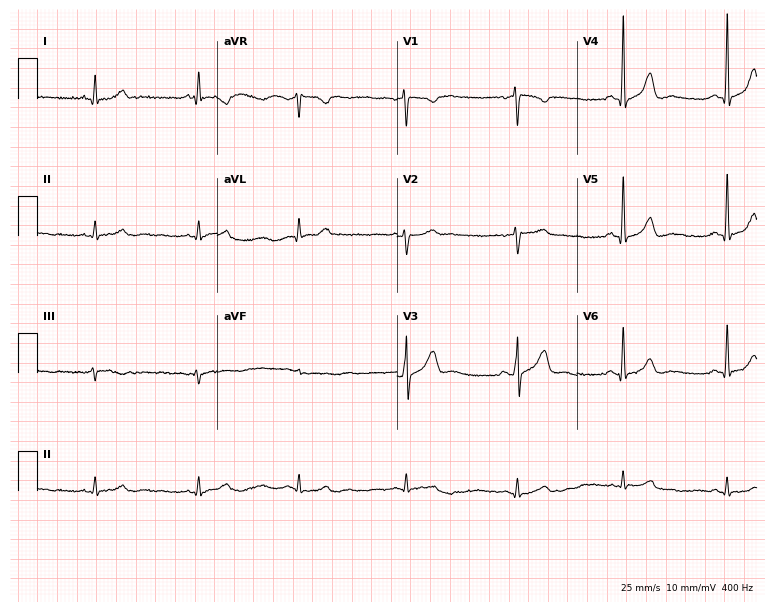
Electrocardiogram, a 41-year-old female patient. Overall reading on record: normal ECG.